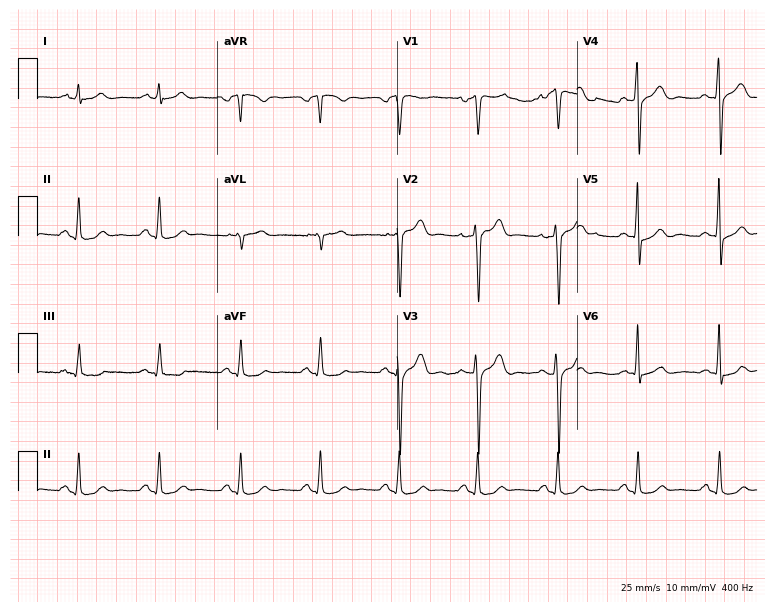
12-lead ECG (7.3-second recording at 400 Hz) from a 40-year-old male. Labelled as a normal ECG.